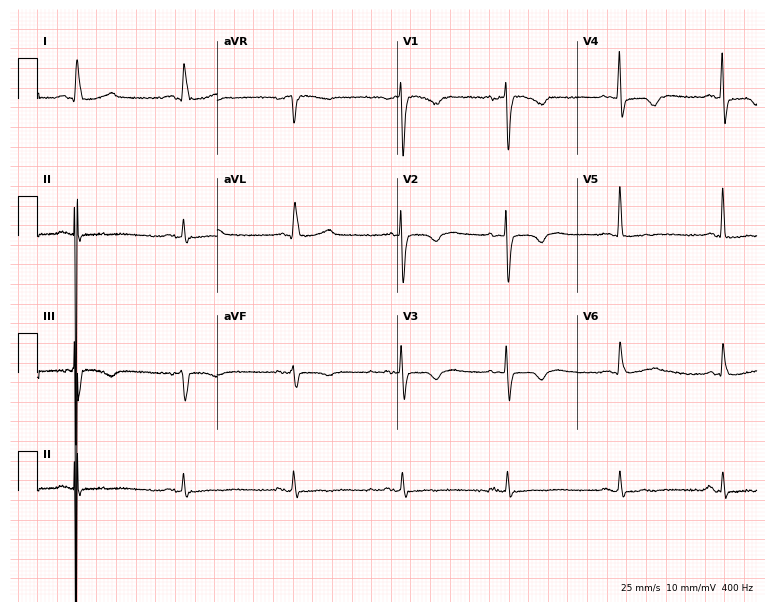
Resting 12-lead electrocardiogram. Patient: an 83-year-old woman. None of these six findings is recorded: first-degree AV block, right bundle branch block, left bundle branch block, sinus bradycardia, atrial fibrillation, sinus tachycardia. Findings outside these six are not listed.